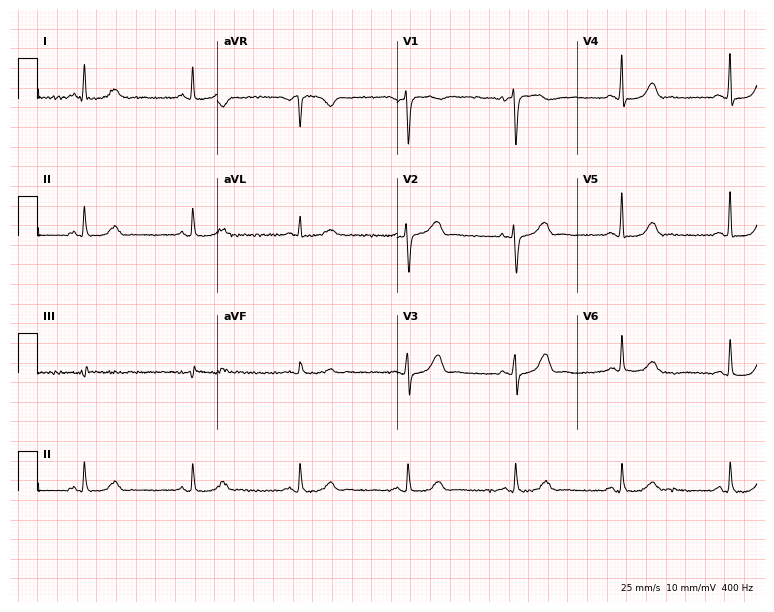
Standard 12-lead ECG recorded from a 76-year-old female patient. Read as a normal ECG.